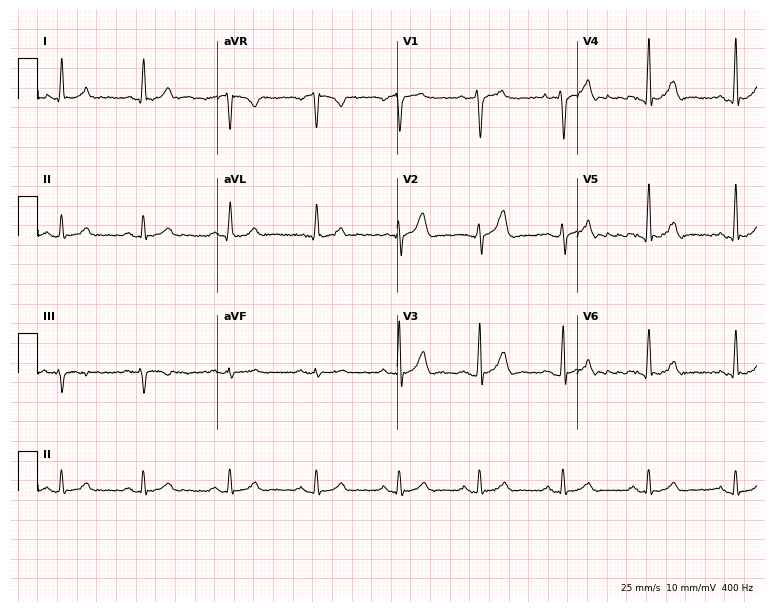
ECG — a 25-year-old male patient. Labelled as a normal ECG.